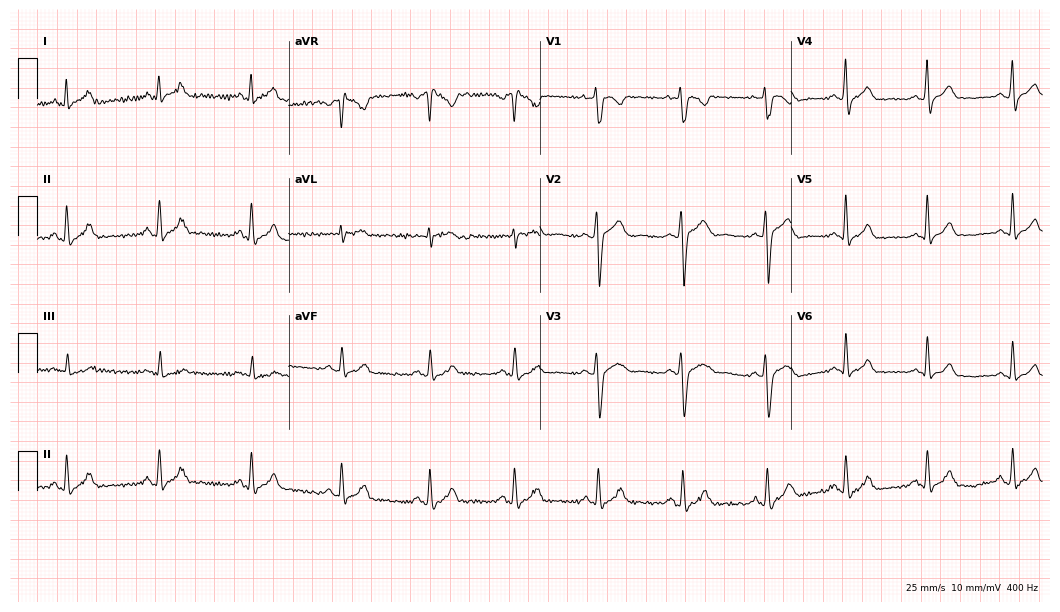
Resting 12-lead electrocardiogram. Patient: a 28-year-old man. None of these six findings is recorded: first-degree AV block, right bundle branch block, left bundle branch block, sinus bradycardia, atrial fibrillation, sinus tachycardia.